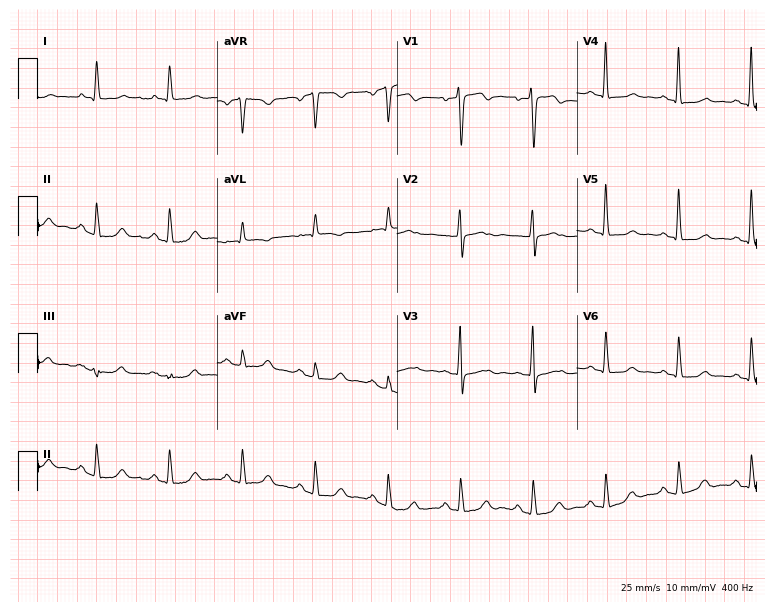
12-lead ECG from a female patient, 70 years old. Screened for six findings — first-degree AV block, right bundle branch block (RBBB), left bundle branch block (LBBB), sinus bradycardia, atrial fibrillation (AF), sinus tachycardia — none is recorded. Findings outside these six are not listed.